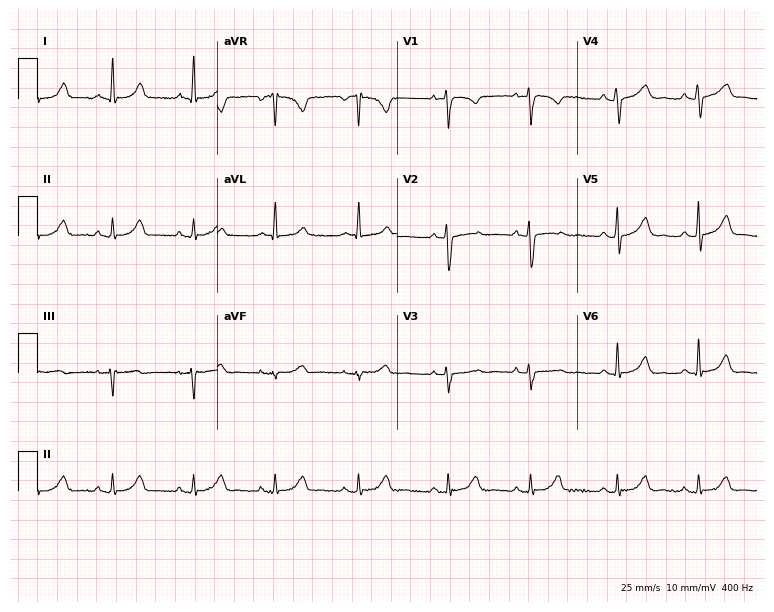
12-lead ECG from a female patient, 25 years old (7.3-second recording at 400 Hz). No first-degree AV block, right bundle branch block, left bundle branch block, sinus bradycardia, atrial fibrillation or sinus tachycardia recorded for this tracing. Other findings, if any, are not listed.